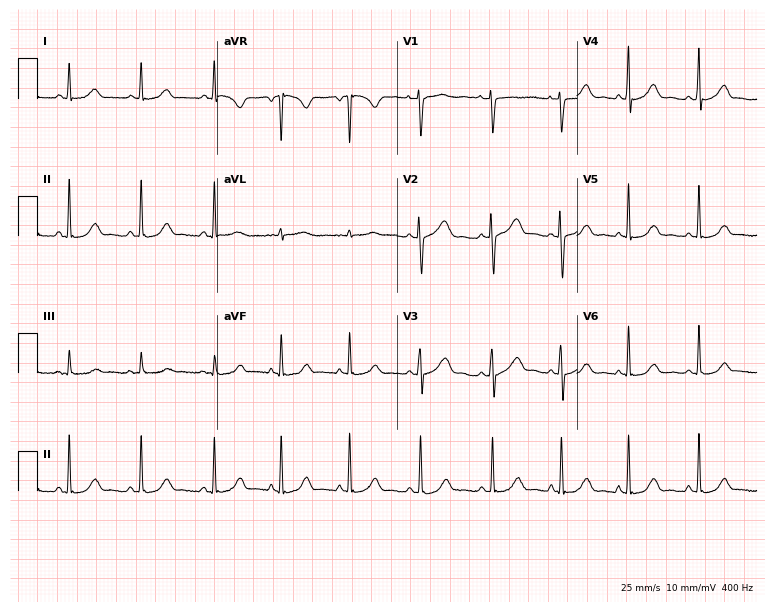
ECG (7.3-second recording at 400 Hz) — a female, 41 years old. Labelled as a normal ECG.